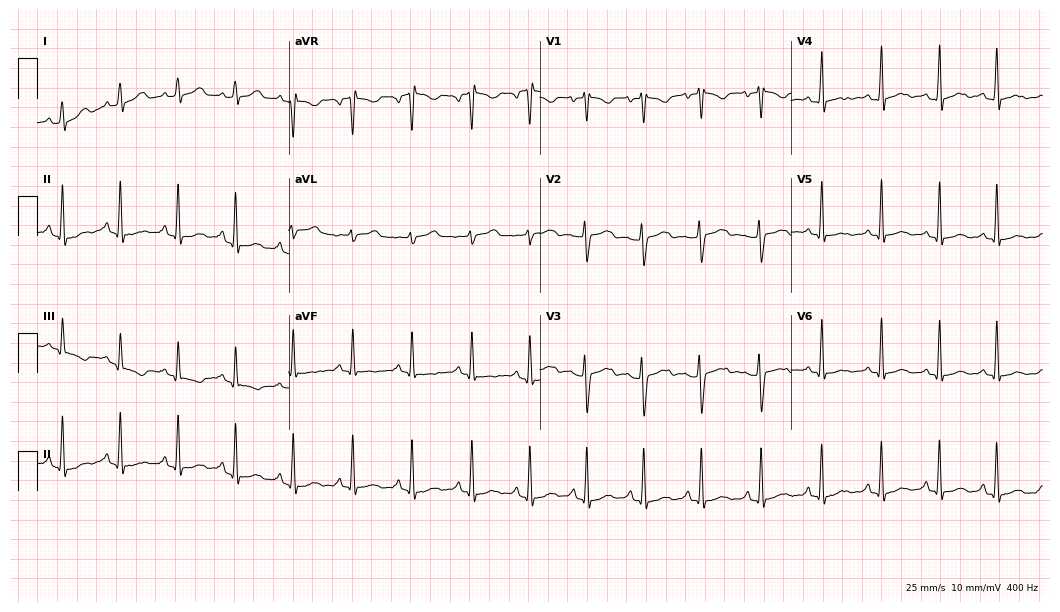
Standard 12-lead ECG recorded from a 33-year-old female patient. None of these six findings is recorded: first-degree AV block, right bundle branch block (RBBB), left bundle branch block (LBBB), sinus bradycardia, atrial fibrillation (AF), sinus tachycardia.